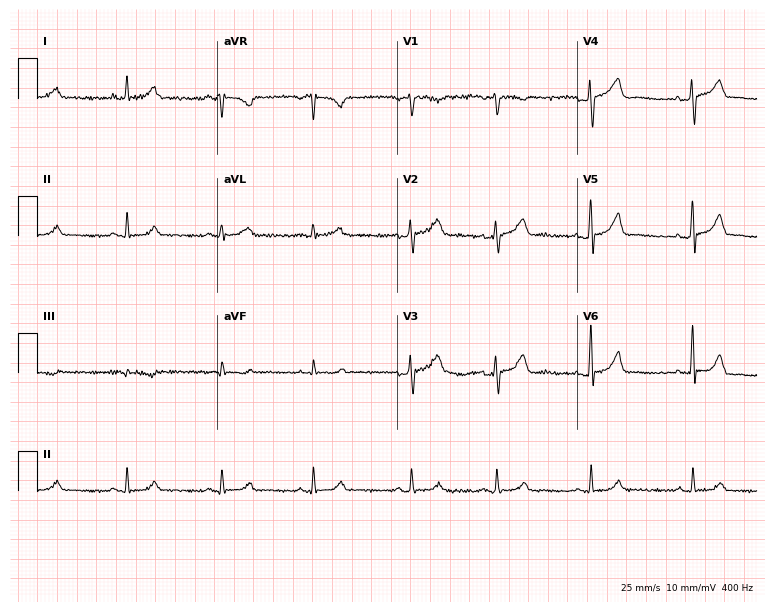
12-lead ECG (7.3-second recording at 400 Hz) from a female, 35 years old. Labelled as a normal ECG.